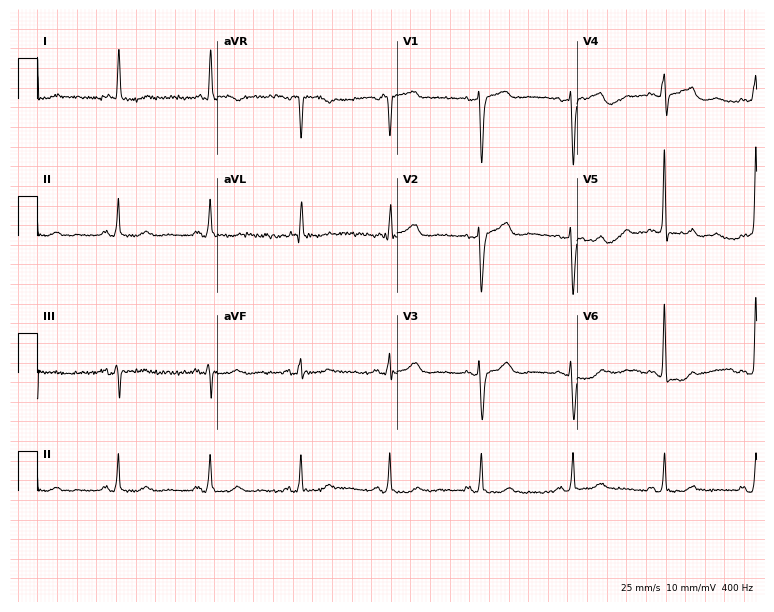
Resting 12-lead electrocardiogram (7.3-second recording at 400 Hz). Patient: a 74-year-old female. Read as a normal ECG.